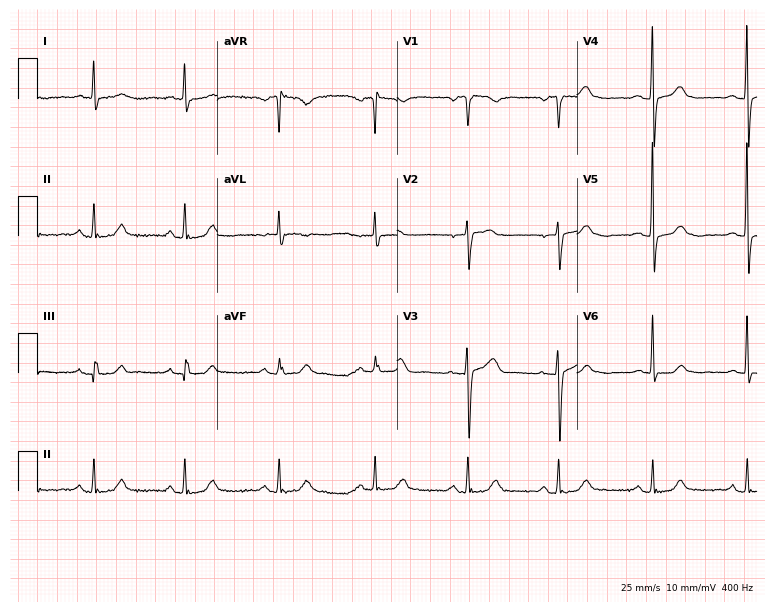
ECG (7.3-second recording at 400 Hz) — a woman, 75 years old. Labelled as a normal ECG.